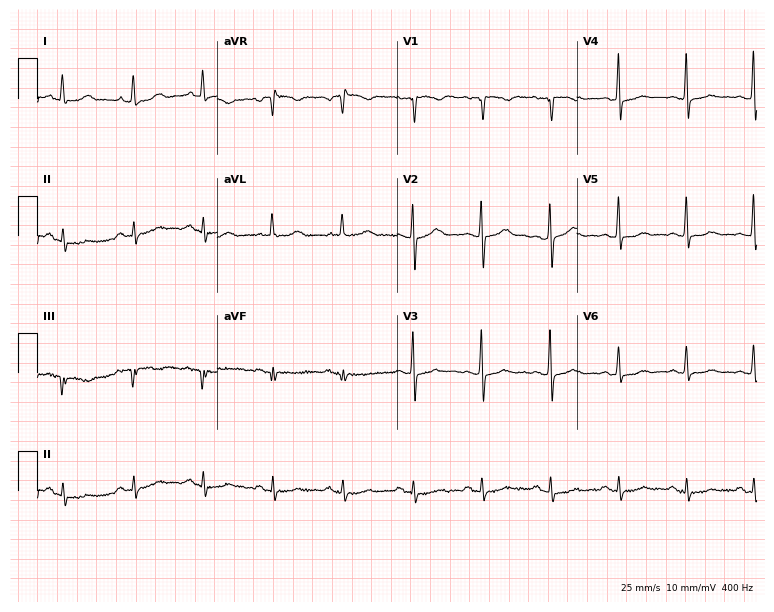
Standard 12-lead ECG recorded from a female patient, 66 years old. None of these six findings is recorded: first-degree AV block, right bundle branch block (RBBB), left bundle branch block (LBBB), sinus bradycardia, atrial fibrillation (AF), sinus tachycardia.